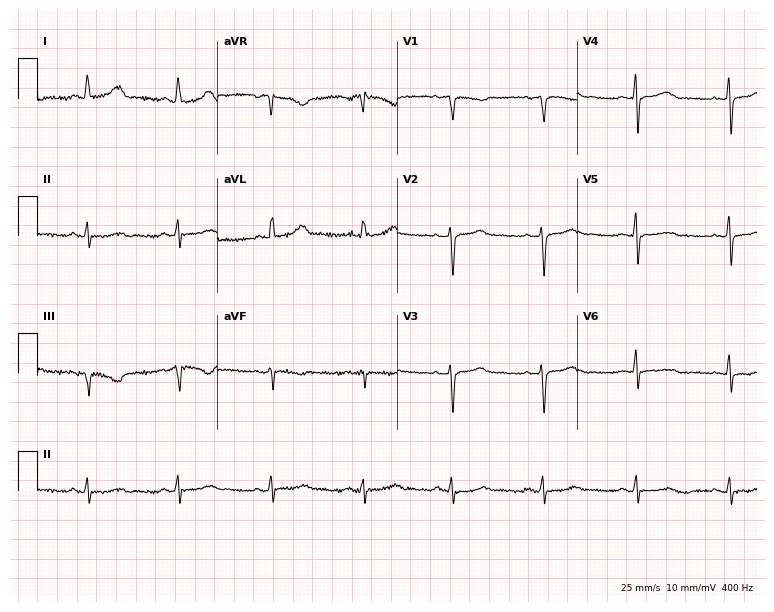
Resting 12-lead electrocardiogram. Patient: a 65-year-old female. None of these six findings is recorded: first-degree AV block, right bundle branch block, left bundle branch block, sinus bradycardia, atrial fibrillation, sinus tachycardia. Findings outside these six are not listed.